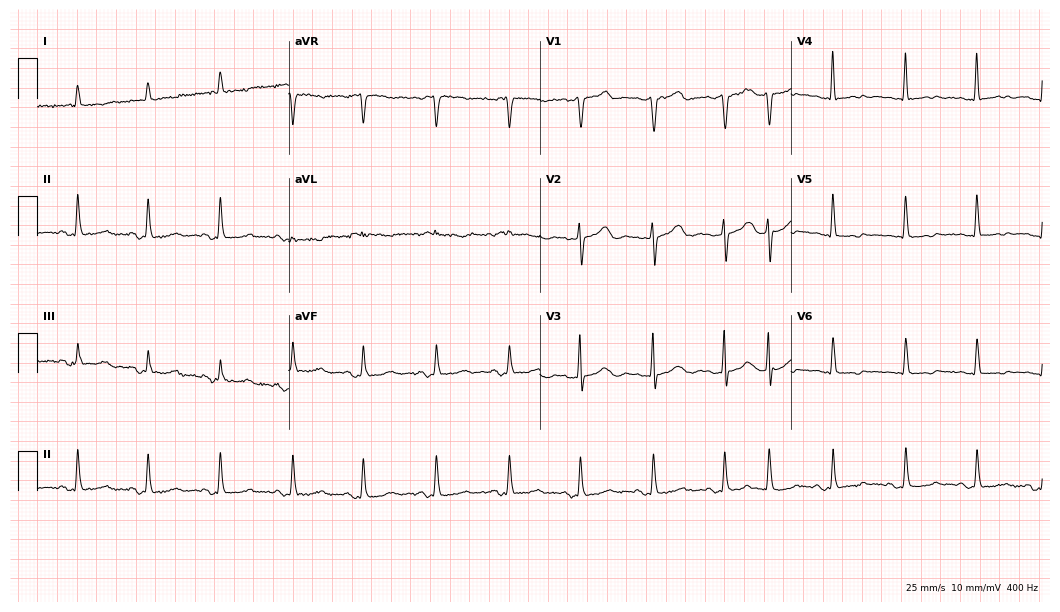
Electrocardiogram (10.2-second recording at 400 Hz), an 82-year-old female. Of the six screened findings (first-degree AV block, right bundle branch block (RBBB), left bundle branch block (LBBB), sinus bradycardia, atrial fibrillation (AF), sinus tachycardia), none is recorded.